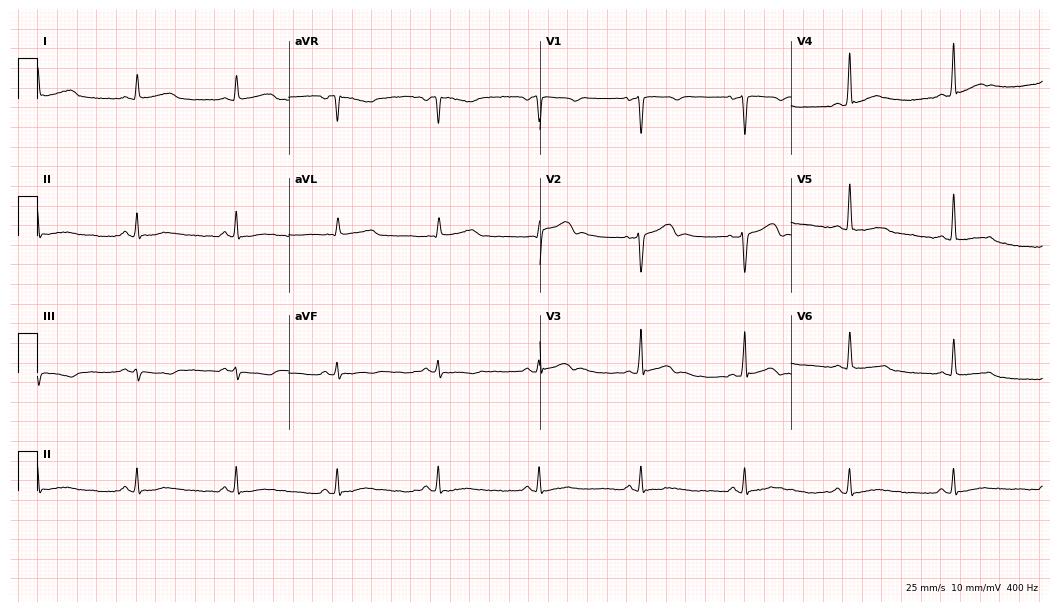
Standard 12-lead ECG recorded from a male, 43 years old (10.2-second recording at 400 Hz). Read as a normal ECG.